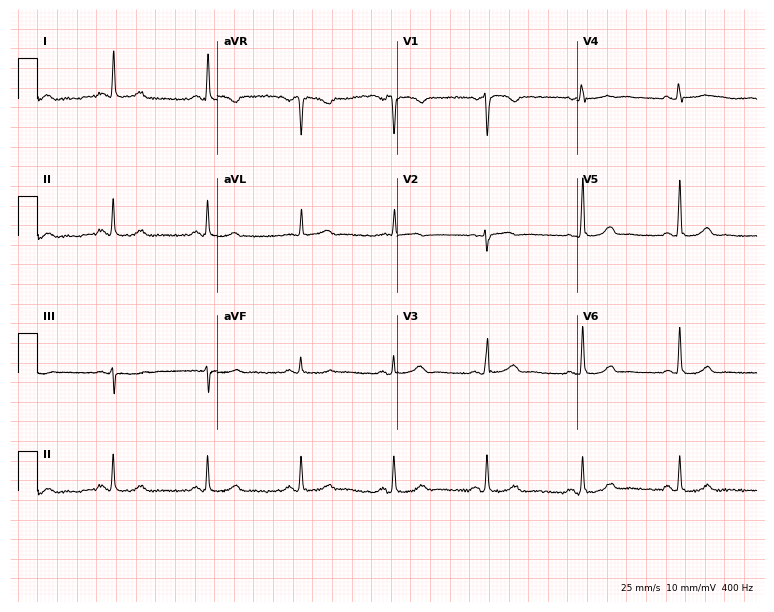
12-lead ECG from a 58-year-old female. Recorded interpretation: within normal limits.